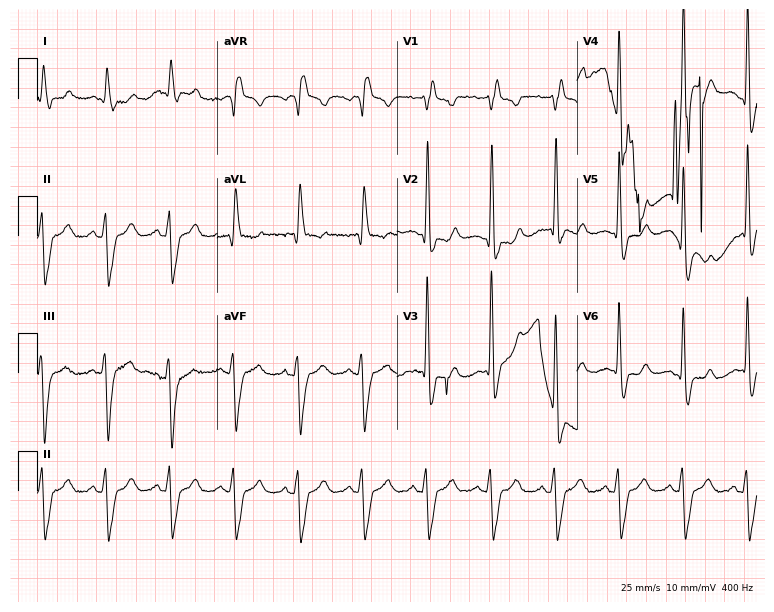
Standard 12-lead ECG recorded from a 78-year-old male (7.3-second recording at 400 Hz). The tracing shows right bundle branch block.